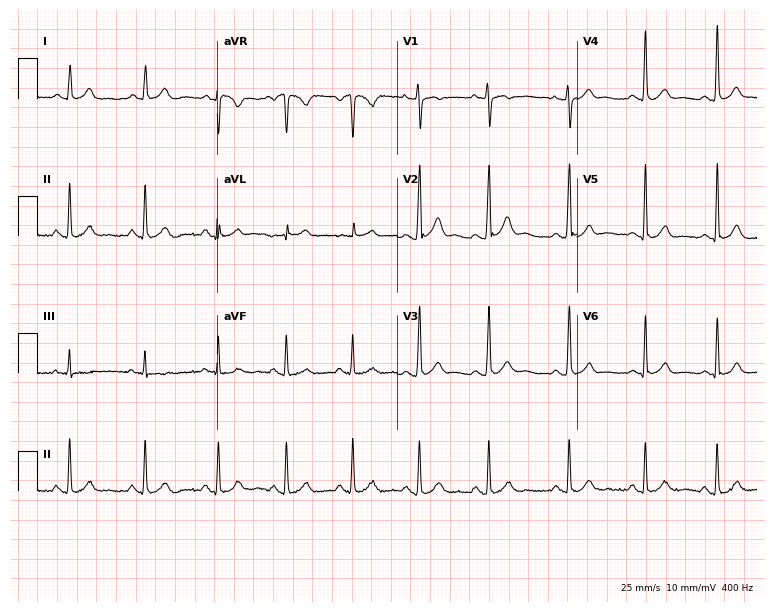
Electrocardiogram (7.3-second recording at 400 Hz), a 22-year-old man. Overall reading on record: normal ECG.